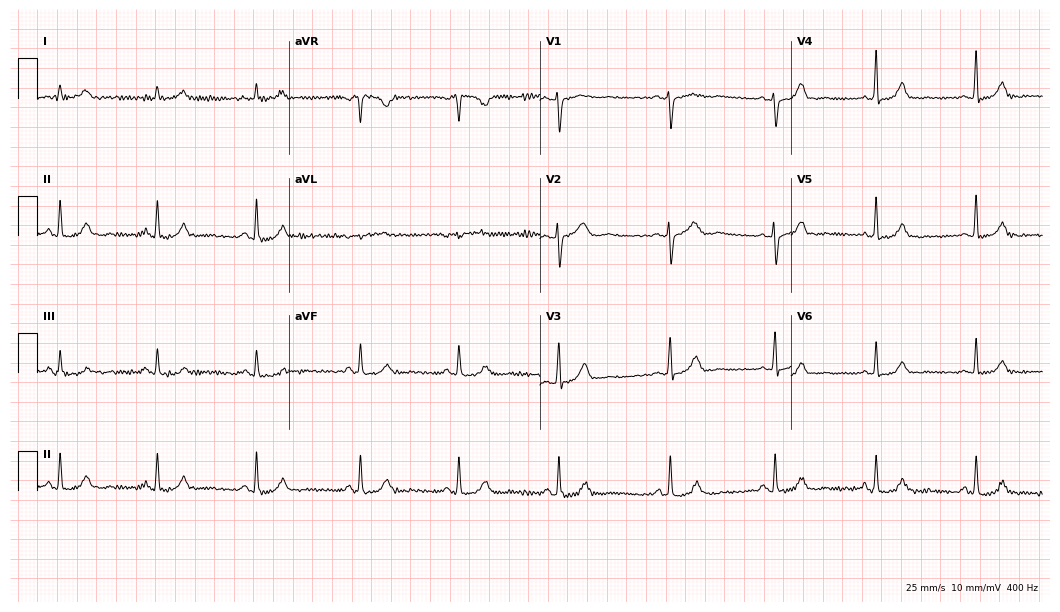
12-lead ECG from a female, 45 years old. Recorded interpretation: within normal limits.